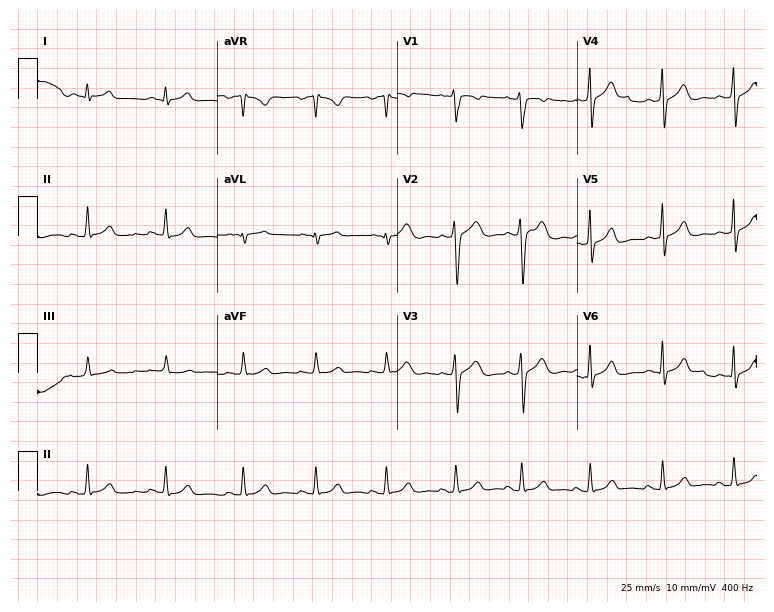
ECG (7.3-second recording at 400 Hz) — a female patient, 26 years old. Screened for six findings — first-degree AV block, right bundle branch block (RBBB), left bundle branch block (LBBB), sinus bradycardia, atrial fibrillation (AF), sinus tachycardia — none is recorded.